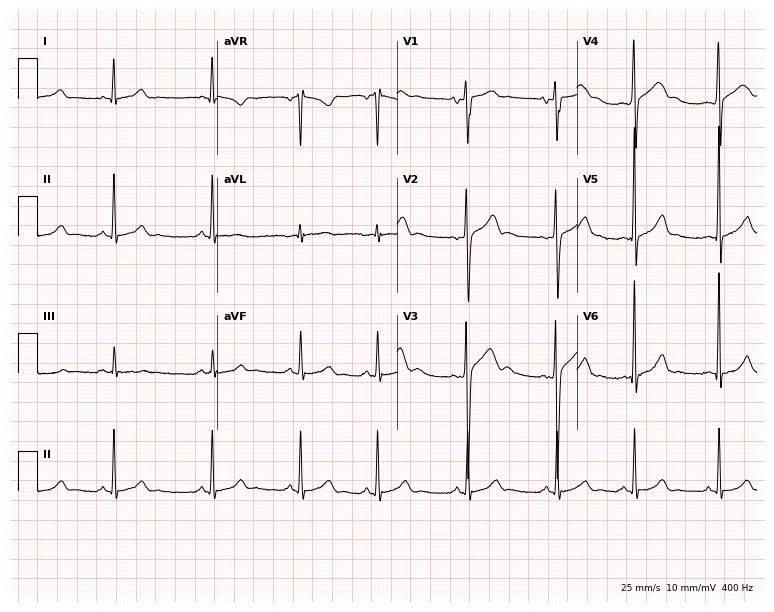
Standard 12-lead ECG recorded from a 19-year-old man. Read as a normal ECG.